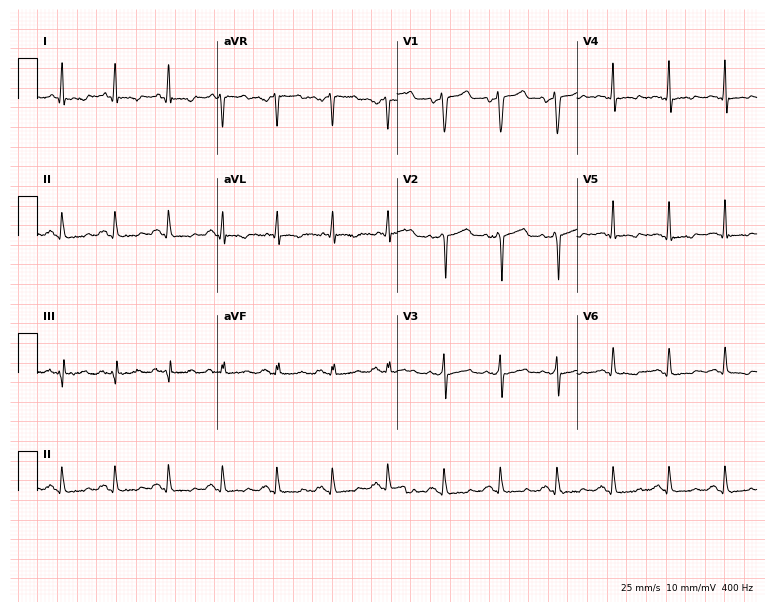
Standard 12-lead ECG recorded from a 56-year-old male patient (7.3-second recording at 400 Hz). None of these six findings is recorded: first-degree AV block, right bundle branch block (RBBB), left bundle branch block (LBBB), sinus bradycardia, atrial fibrillation (AF), sinus tachycardia.